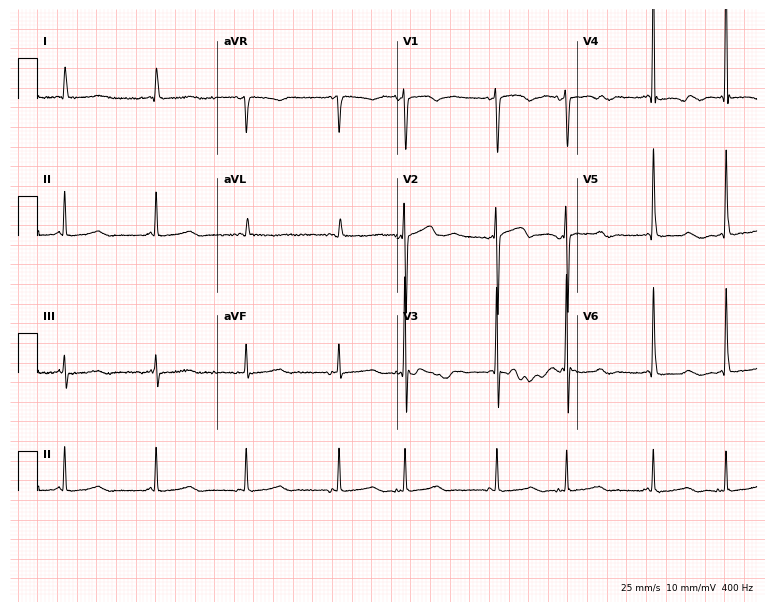
Electrocardiogram (7.3-second recording at 400 Hz), a 63-year-old female patient. Of the six screened findings (first-degree AV block, right bundle branch block, left bundle branch block, sinus bradycardia, atrial fibrillation, sinus tachycardia), none is recorded.